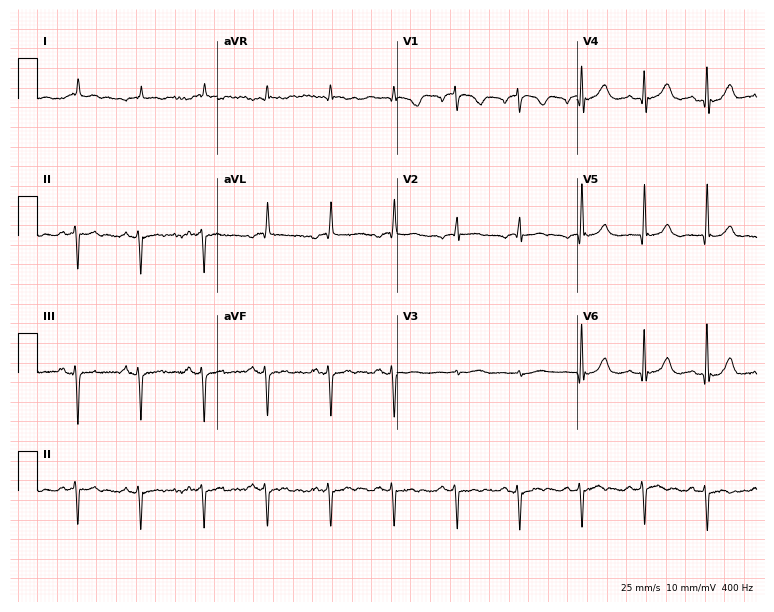
Resting 12-lead electrocardiogram (7.3-second recording at 400 Hz). Patient: a 77-year-old man. None of these six findings is recorded: first-degree AV block, right bundle branch block (RBBB), left bundle branch block (LBBB), sinus bradycardia, atrial fibrillation (AF), sinus tachycardia.